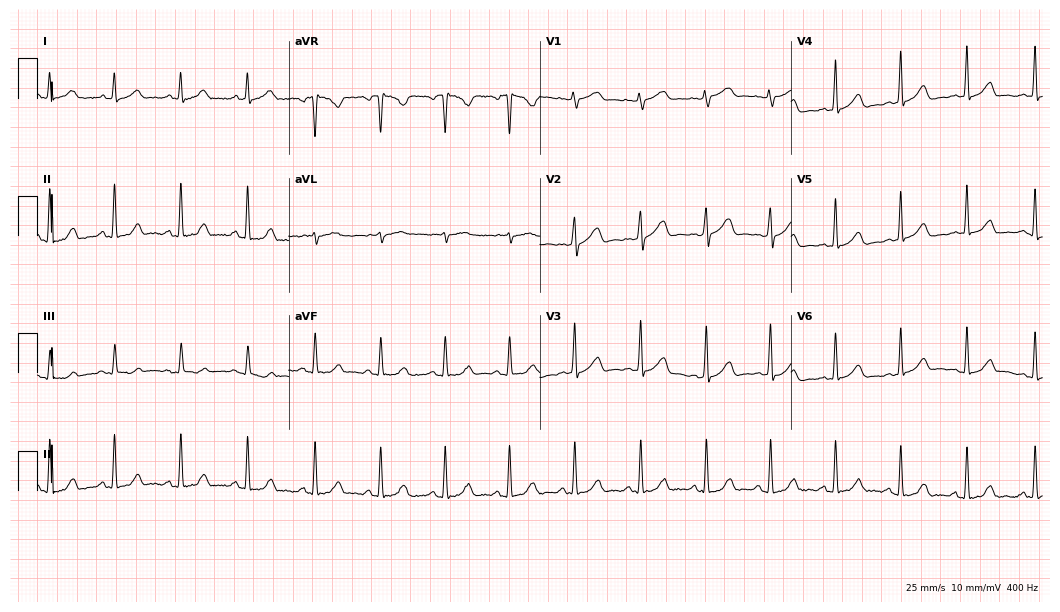
12-lead ECG from a 28-year-old female. Screened for six findings — first-degree AV block, right bundle branch block (RBBB), left bundle branch block (LBBB), sinus bradycardia, atrial fibrillation (AF), sinus tachycardia — none is recorded. Other findings, if any, are not listed.